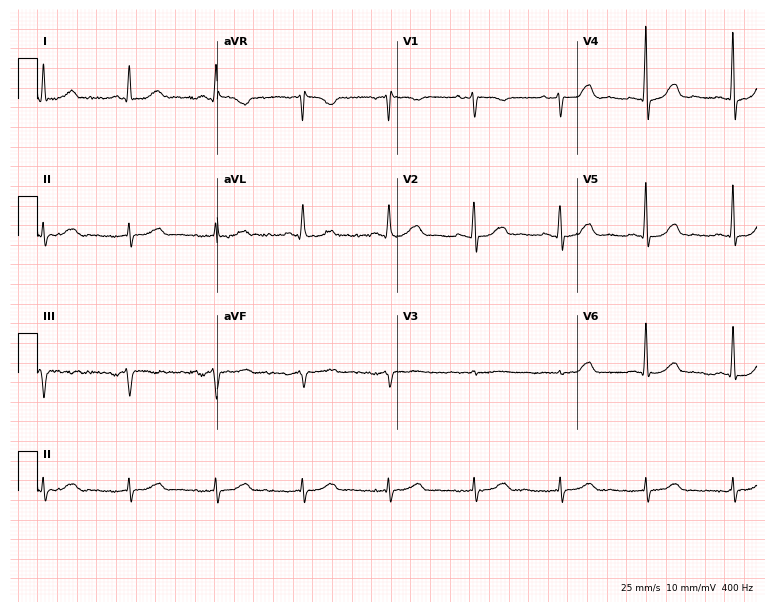
Standard 12-lead ECG recorded from a female, 56 years old. Read as a normal ECG.